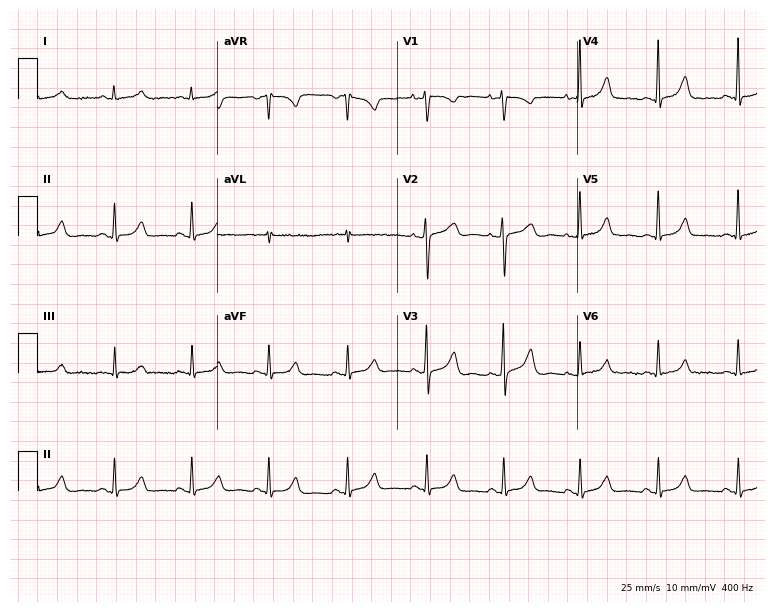
12-lead ECG from a 34-year-old woman (7.3-second recording at 400 Hz). Recorded interpretation: within normal limits.